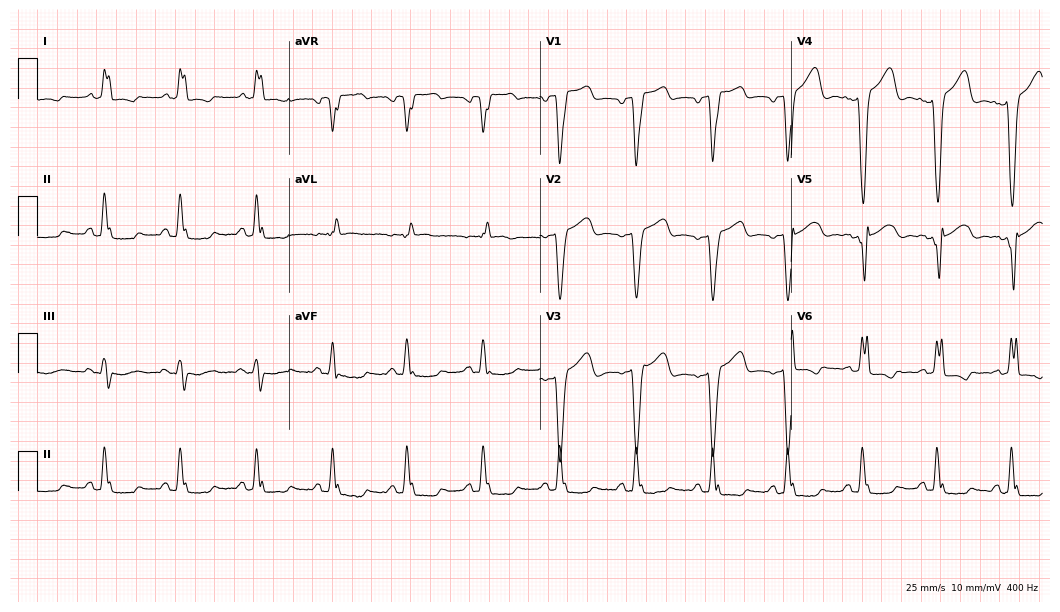
12-lead ECG from a woman, 76 years old. Findings include left bundle branch block.